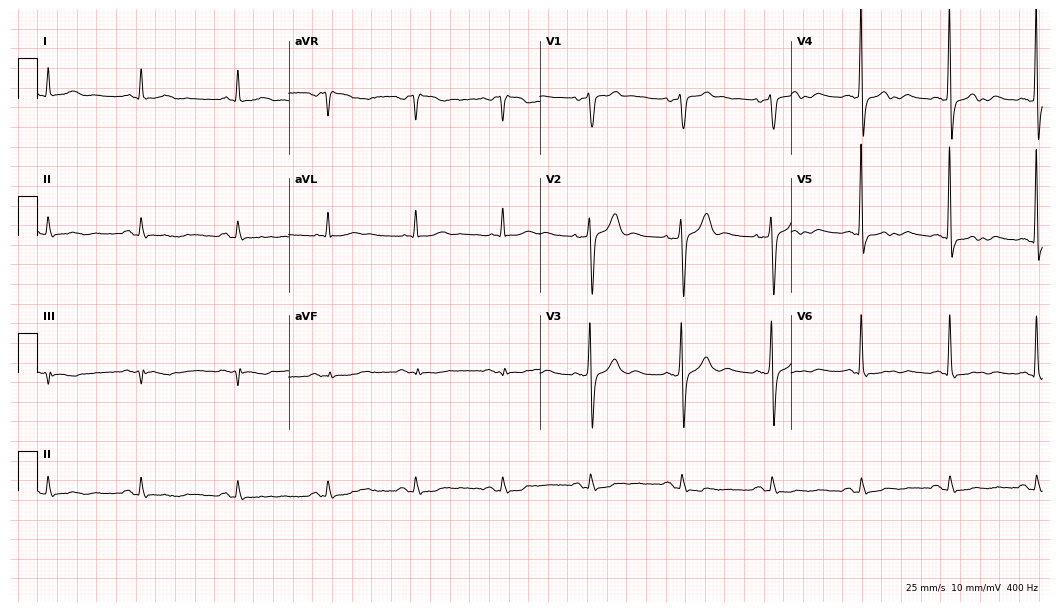
12-lead ECG from a male patient, 63 years old. Screened for six findings — first-degree AV block, right bundle branch block (RBBB), left bundle branch block (LBBB), sinus bradycardia, atrial fibrillation (AF), sinus tachycardia — none is recorded. Findings outside these six are not listed.